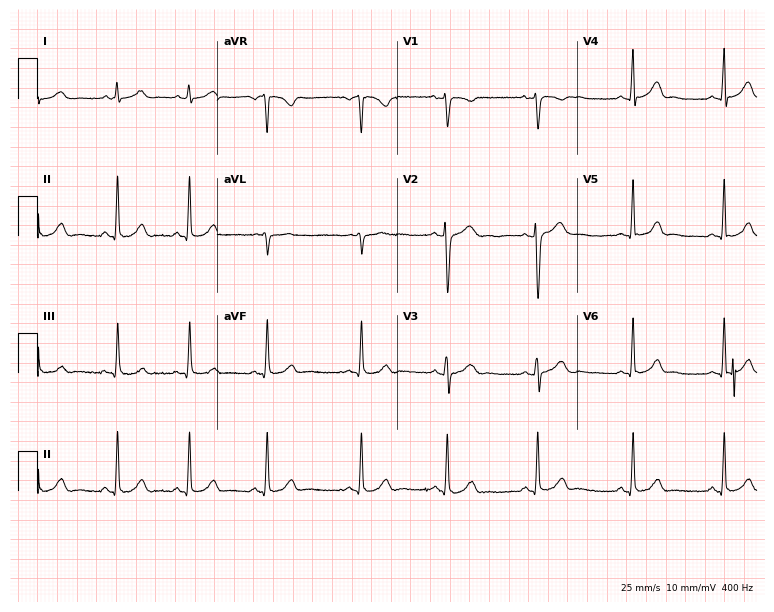
12-lead ECG from a female patient, 27 years old (7.3-second recording at 400 Hz). Recorded interpretation: within normal limits.